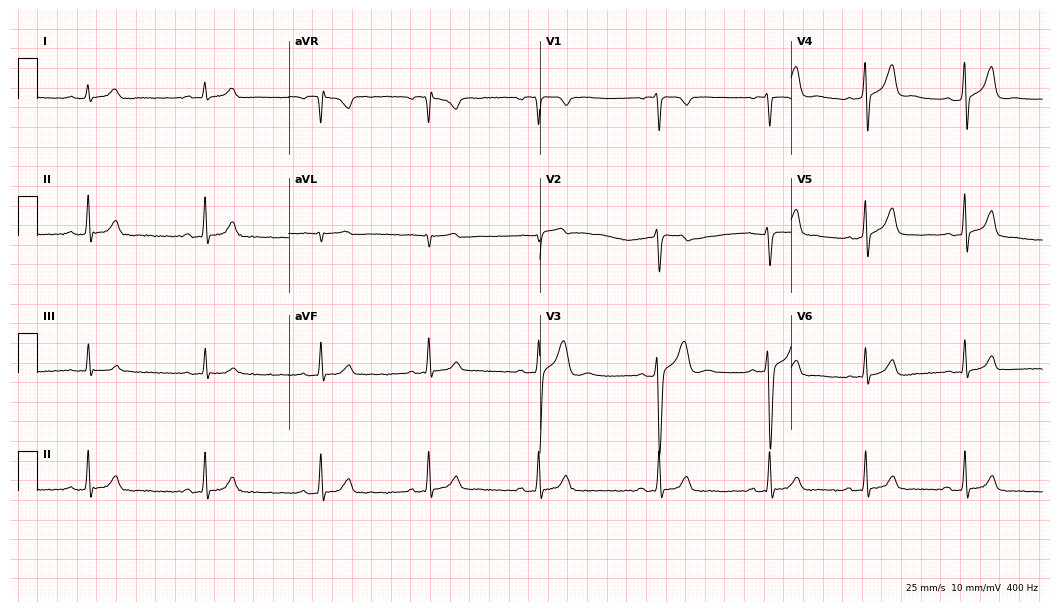
12-lead ECG (10.2-second recording at 400 Hz) from a 31-year-old male. Labelled as a normal ECG.